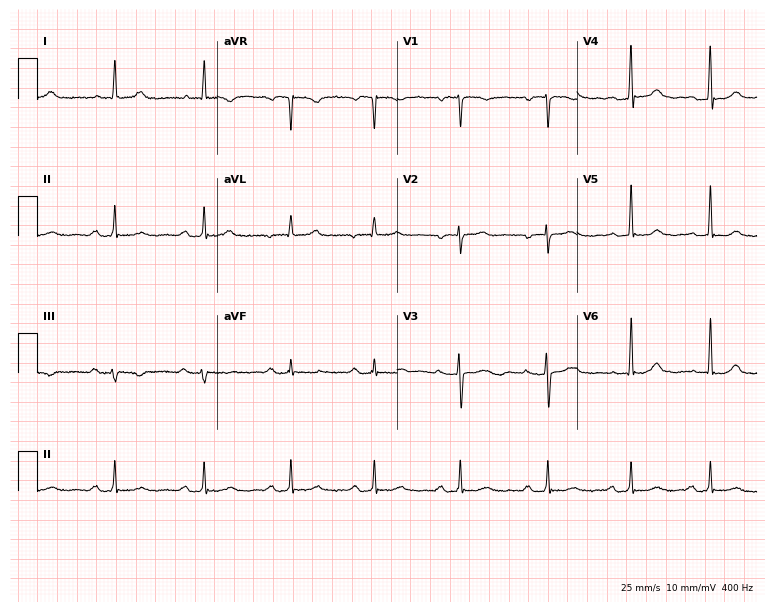
12-lead ECG from a 51-year-old woman (7.3-second recording at 400 Hz). Recorded interpretation: within normal limits.